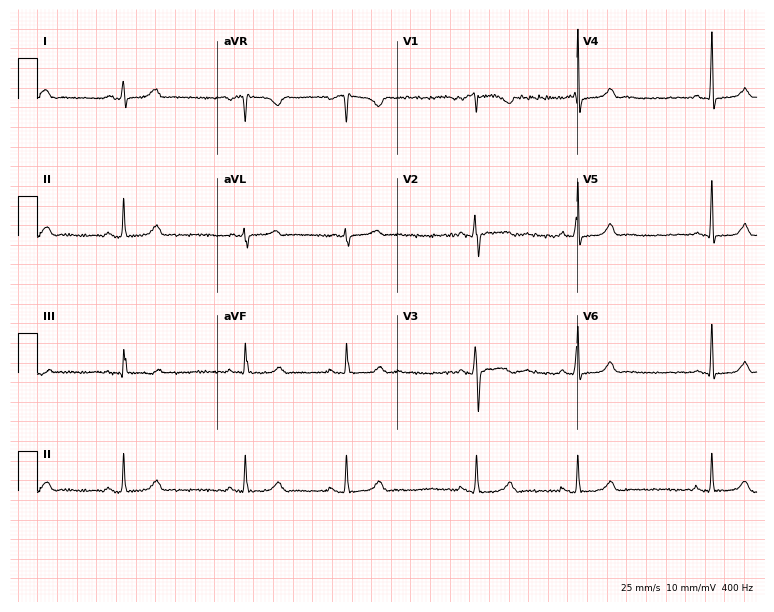
Standard 12-lead ECG recorded from a 20-year-old man. The tracing shows sinus bradycardia (a sinus rate of 50 beats per minute or less).